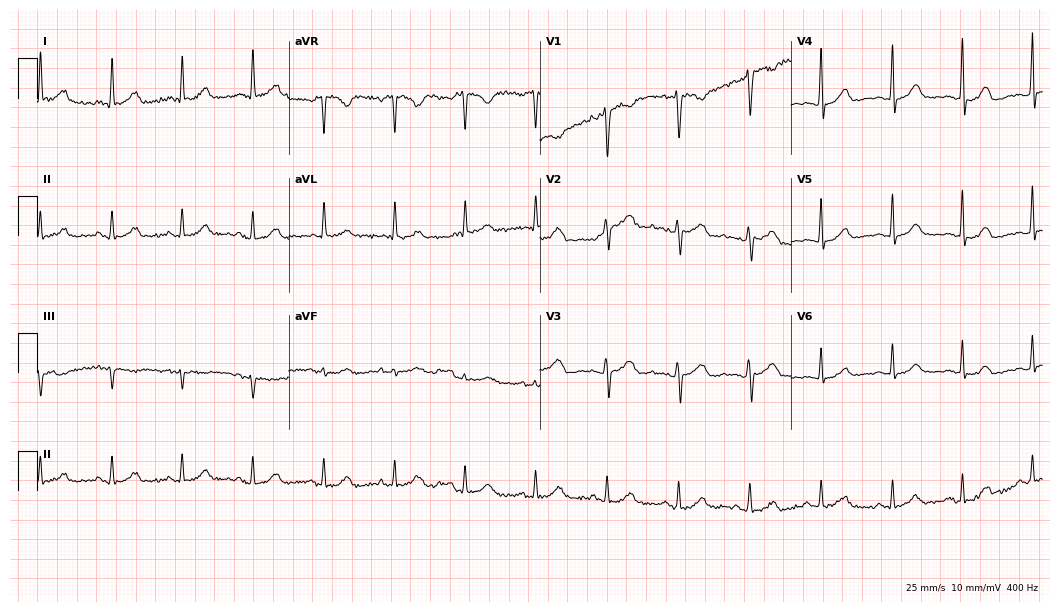
12-lead ECG from a female patient, 64 years old. Labelled as a normal ECG.